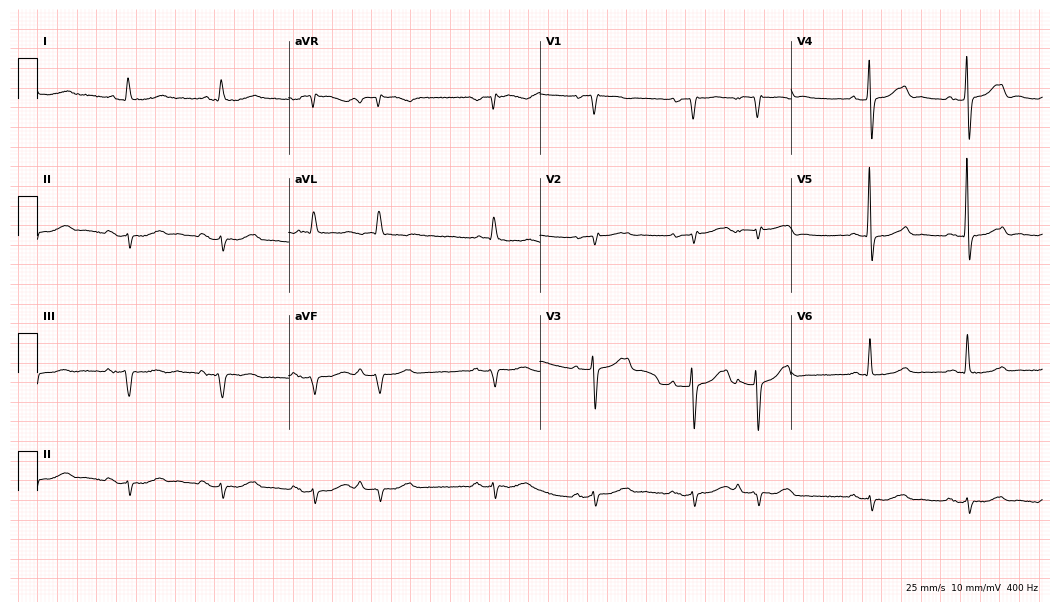
Standard 12-lead ECG recorded from a 76-year-old woman (10.2-second recording at 400 Hz). None of these six findings is recorded: first-degree AV block, right bundle branch block, left bundle branch block, sinus bradycardia, atrial fibrillation, sinus tachycardia.